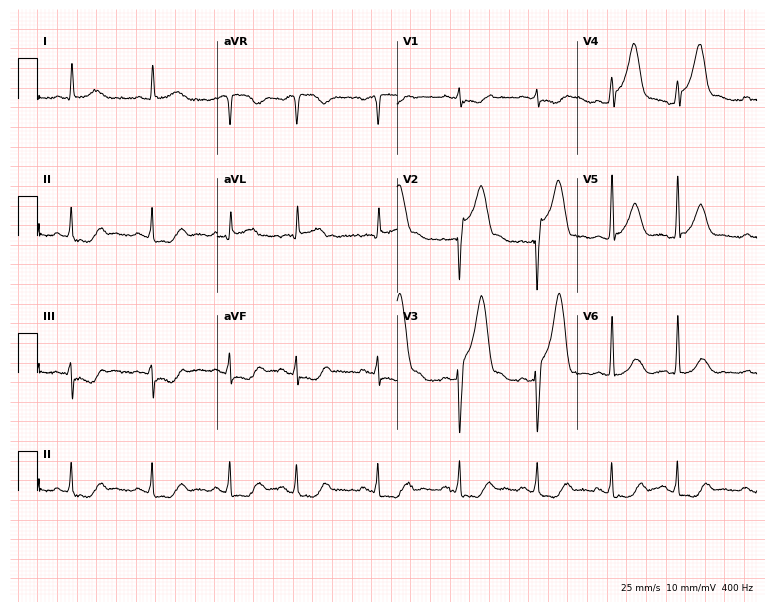
Electrocardiogram, a 59-year-old male patient. Overall reading on record: normal ECG.